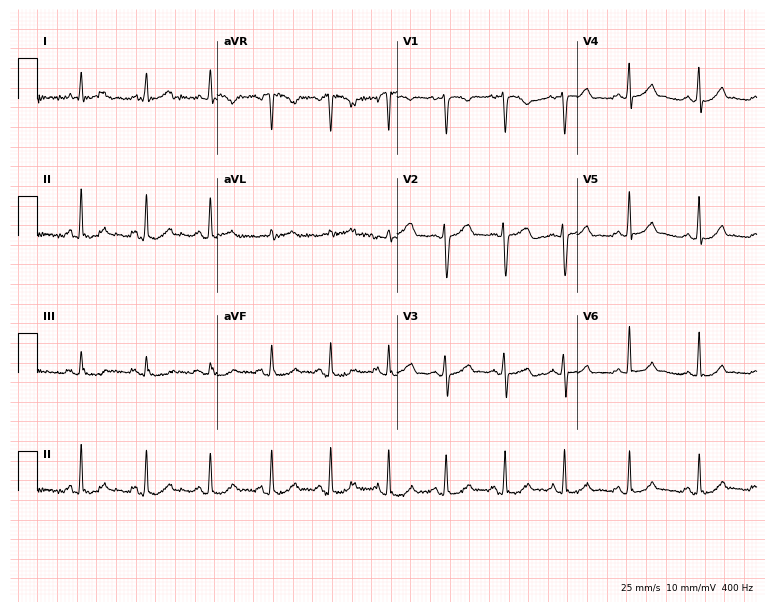
Resting 12-lead electrocardiogram. Patient: a female, 41 years old. Read as a normal ECG.